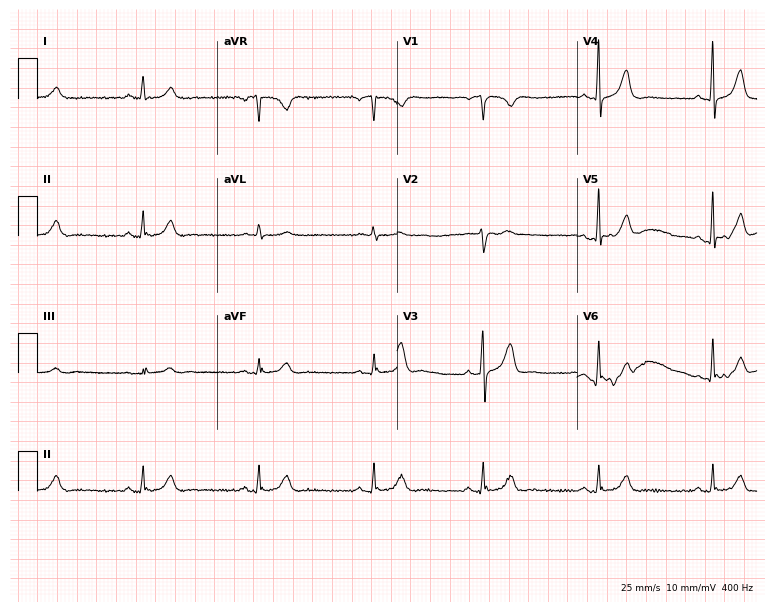
12-lead ECG (7.3-second recording at 400 Hz) from a man, 70 years old. Labelled as a normal ECG.